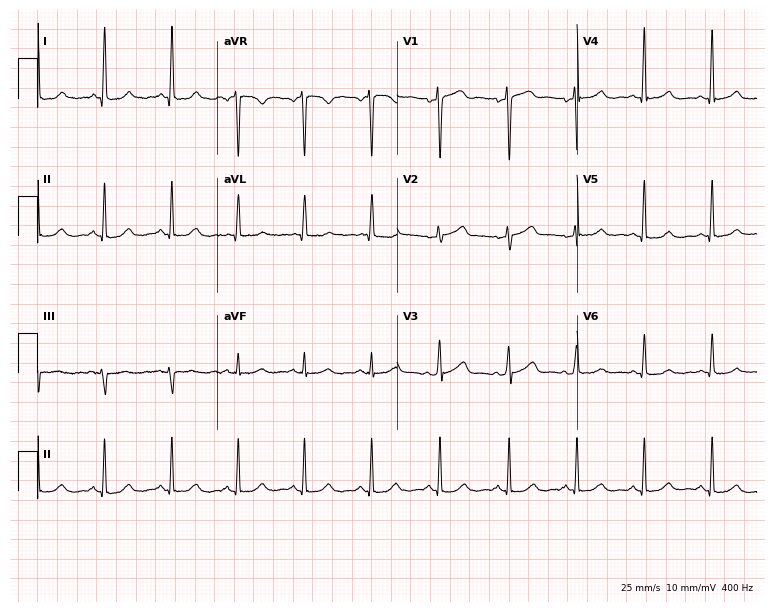
Electrocardiogram (7.3-second recording at 400 Hz), a female, 49 years old. Overall reading on record: normal ECG.